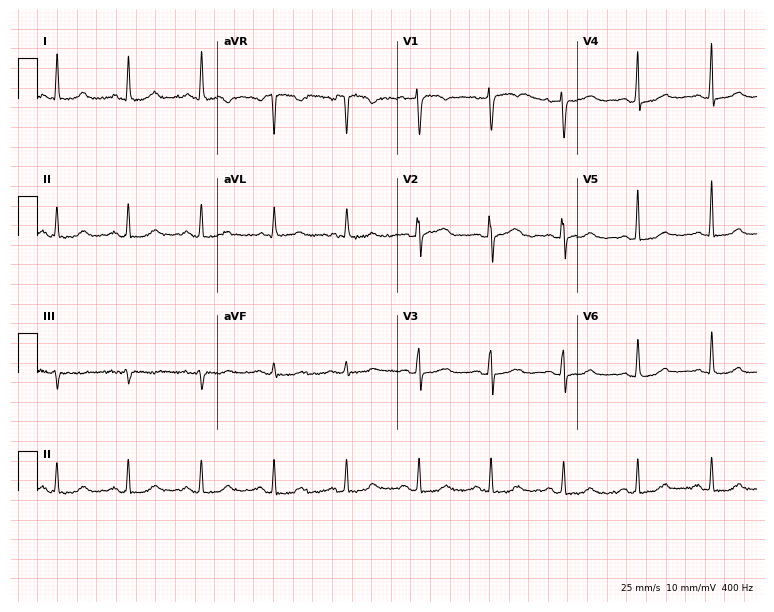
Electrocardiogram (7.3-second recording at 400 Hz), a female, 61 years old. Of the six screened findings (first-degree AV block, right bundle branch block (RBBB), left bundle branch block (LBBB), sinus bradycardia, atrial fibrillation (AF), sinus tachycardia), none is recorded.